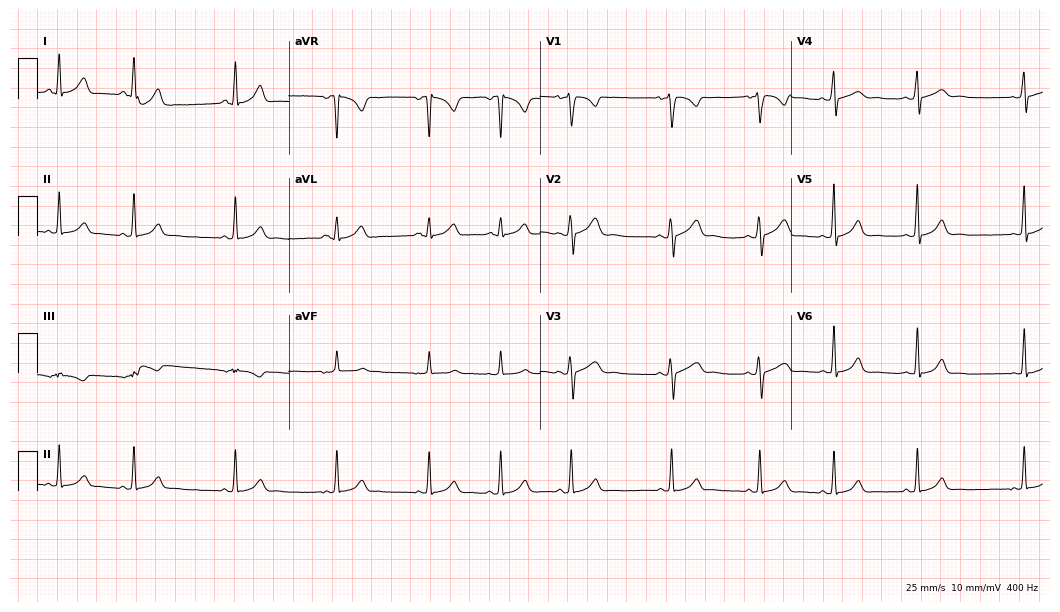
Resting 12-lead electrocardiogram (10.2-second recording at 400 Hz). Patient: a 23-year-old woman. None of these six findings is recorded: first-degree AV block, right bundle branch block, left bundle branch block, sinus bradycardia, atrial fibrillation, sinus tachycardia.